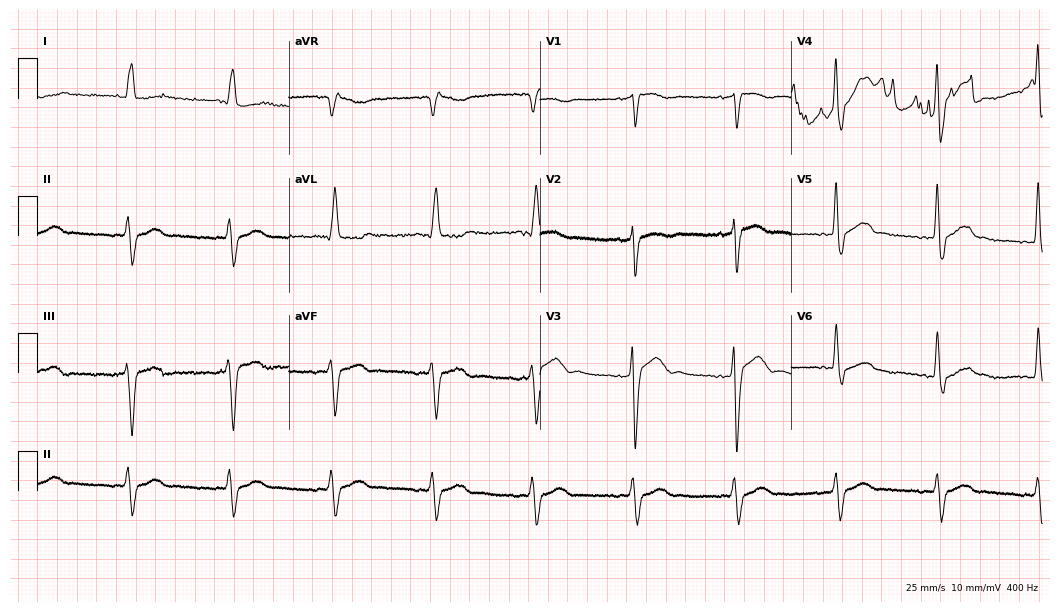
Electrocardiogram, an 82-year-old man. Of the six screened findings (first-degree AV block, right bundle branch block, left bundle branch block, sinus bradycardia, atrial fibrillation, sinus tachycardia), none is recorded.